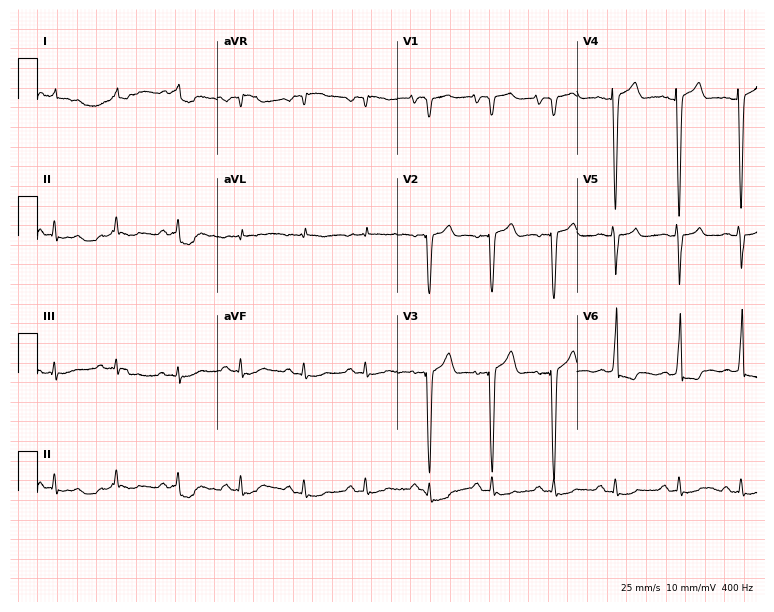
12-lead ECG (7.3-second recording at 400 Hz) from a male, 67 years old. Screened for six findings — first-degree AV block, right bundle branch block (RBBB), left bundle branch block (LBBB), sinus bradycardia, atrial fibrillation (AF), sinus tachycardia — none is recorded.